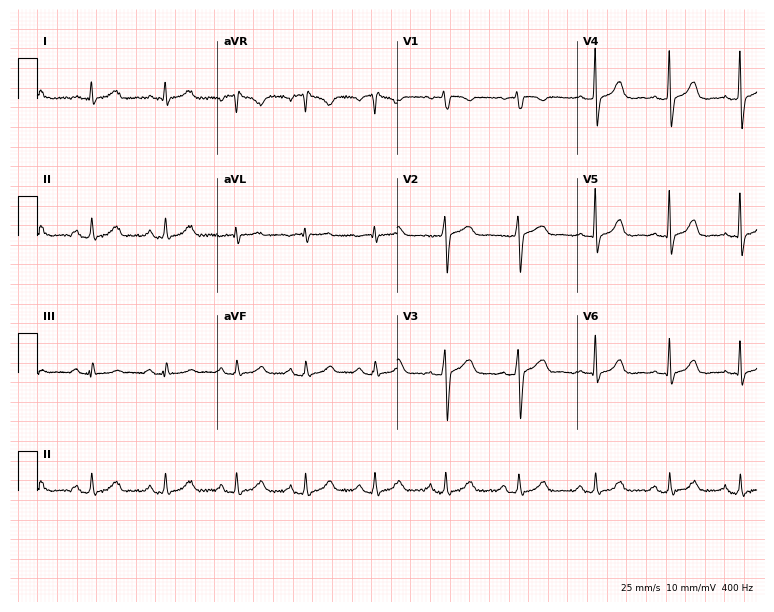
Standard 12-lead ECG recorded from a 54-year-old woman. Read as a normal ECG.